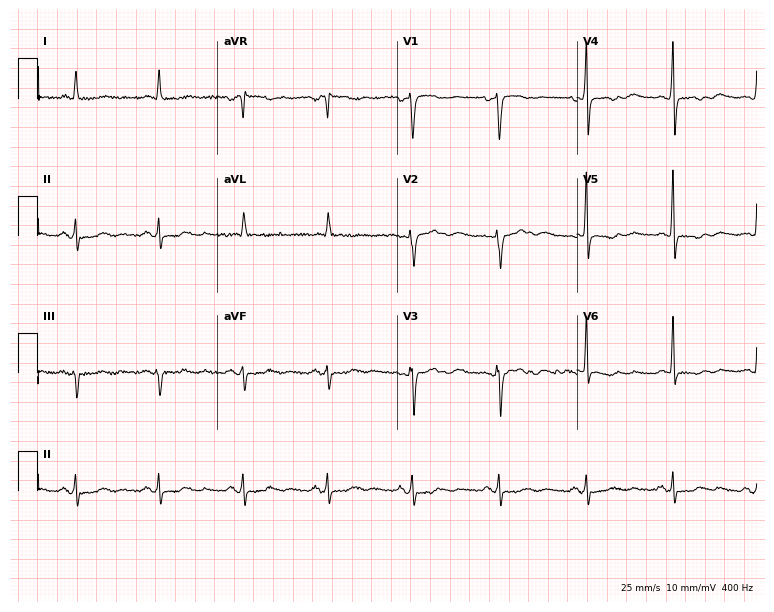
ECG (7.3-second recording at 400 Hz) — a 61-year-old woman. Screened for six findings — first-degree AV block, right bundle branch block, left bundle branch block, sinus bradycardia, atrial fibrillation, sinus tachycardia — none is recorded.